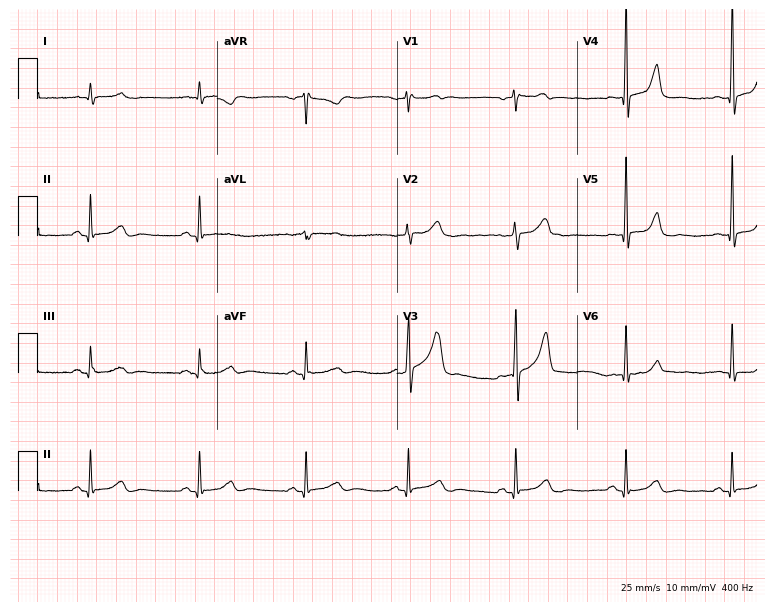
ECG (7.3-second recording at 400 Hz) — a male, 64 years old. Screened for six findings — first-degree AV block, right bundle branch block (RBBB), left bundle branch block (LBBB), sinus bradycardia, atrial fibrillation (AF), sinus tachycardia — none is recorded. Other findings, if any, are not listed.